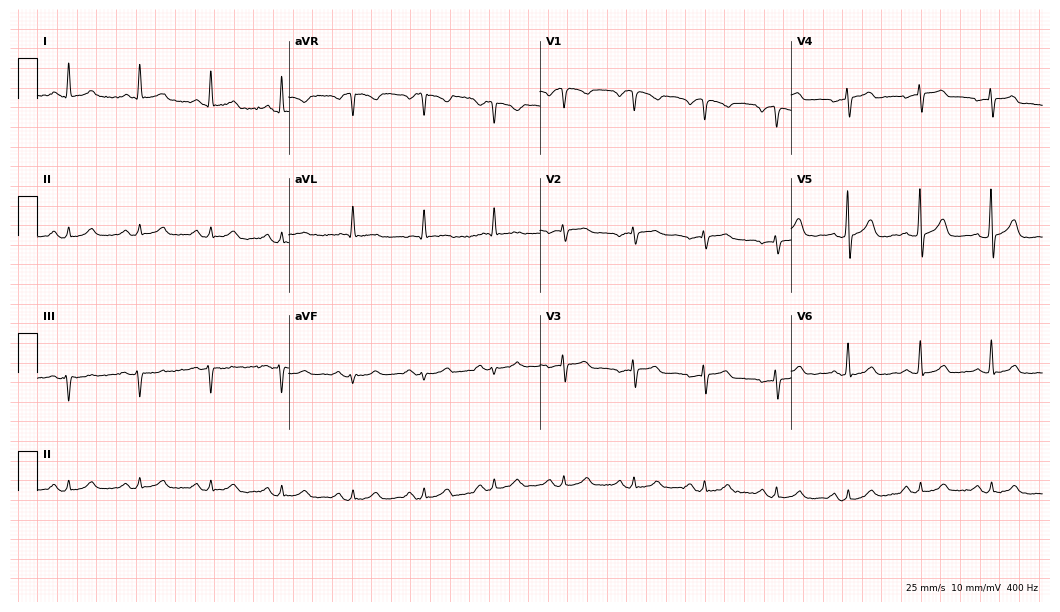
Standard 12-lead ECG recorded from a 69-year-old male (10.2-second recording at 400 Hz). None of these six findings is recorded: first-degree AV block, right bundle branch block, left bundle branch block, sinus bradycardia, atrial fibrillation, sinus tachycardia.